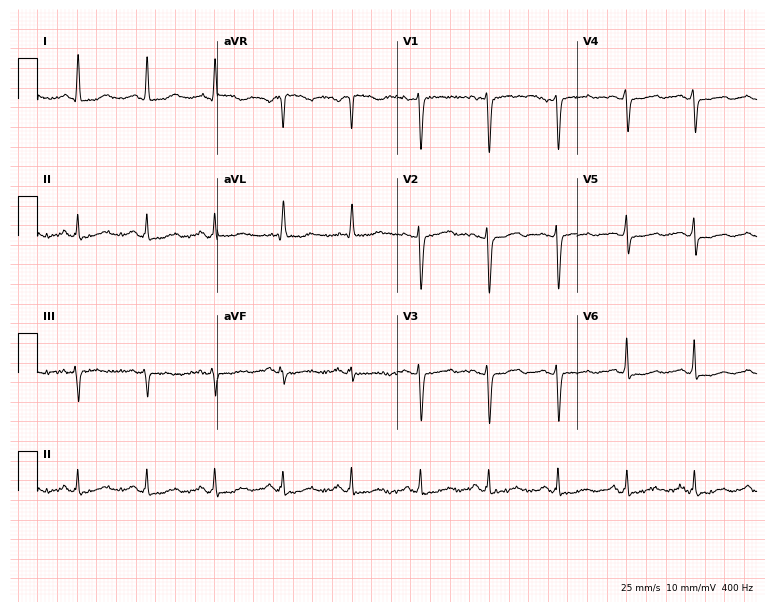
12-lead ECG from a female, 57 years old. No first-degree AV block, right bundle branch block (RBBB), left bundle branch block (LBBB), sinus bradycardia, atrial fibrillation (AF) or sinus tachycardia recorded for this tracing.